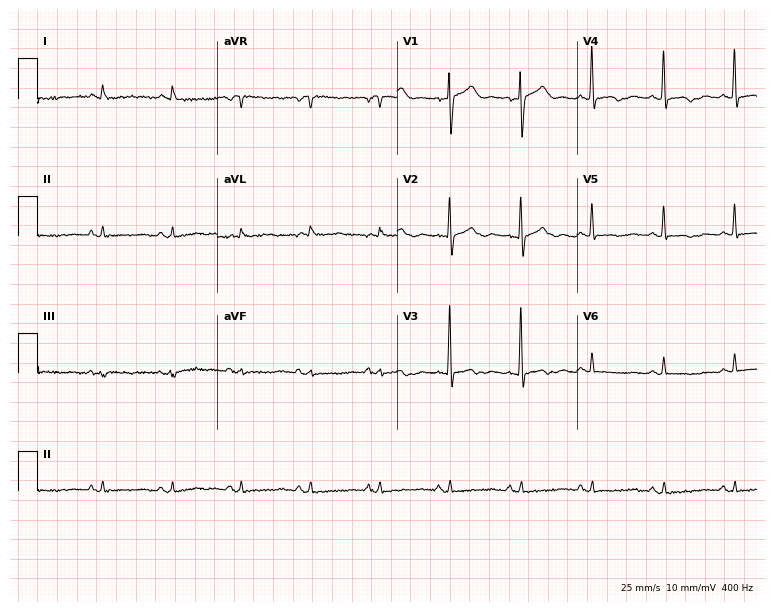
12-lead ECG from an 84-year-old female patient (7.3-second recording at 400 Hz). No first-degree AV block, right bundle branch block (RBBB), left bundle branch block (LBBB), sinus bradycardia, atrial fibrillation (AF) or sinus tachycardia recorded for this tracing. Other findings, if any, are not listed.